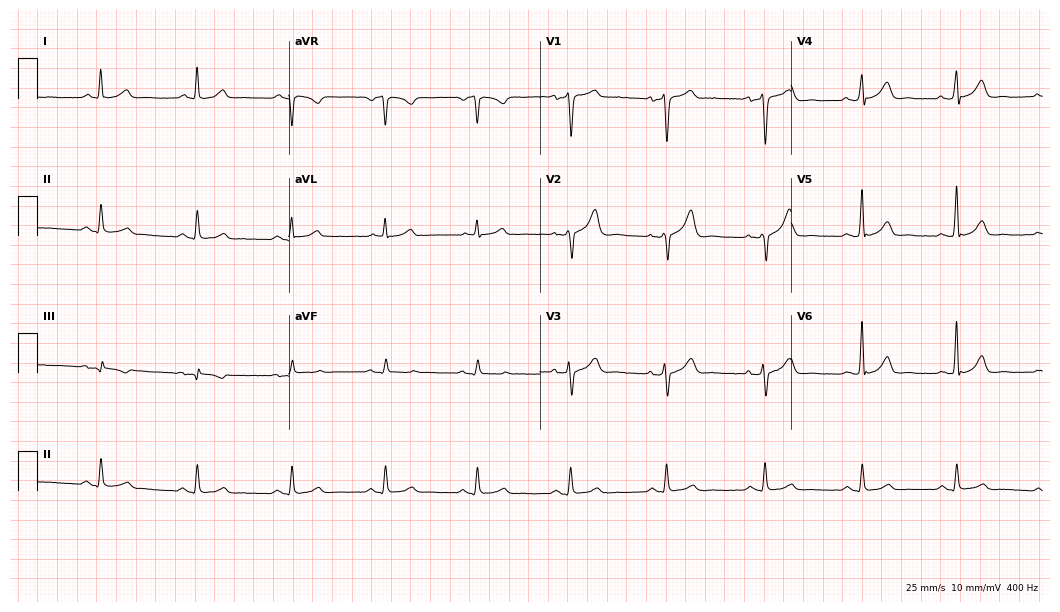
12-lead ECG from a male, 42 years old. Labelled as a normal ECG.